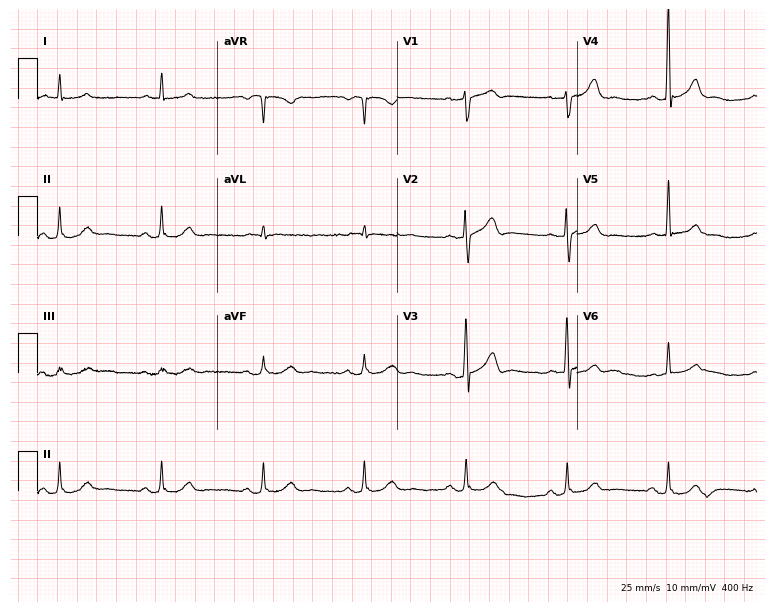
Electrocardiogram (7.3-second recording at 400 Hz), a male patient, 70 years old. Overall reading on record: normal ECG.